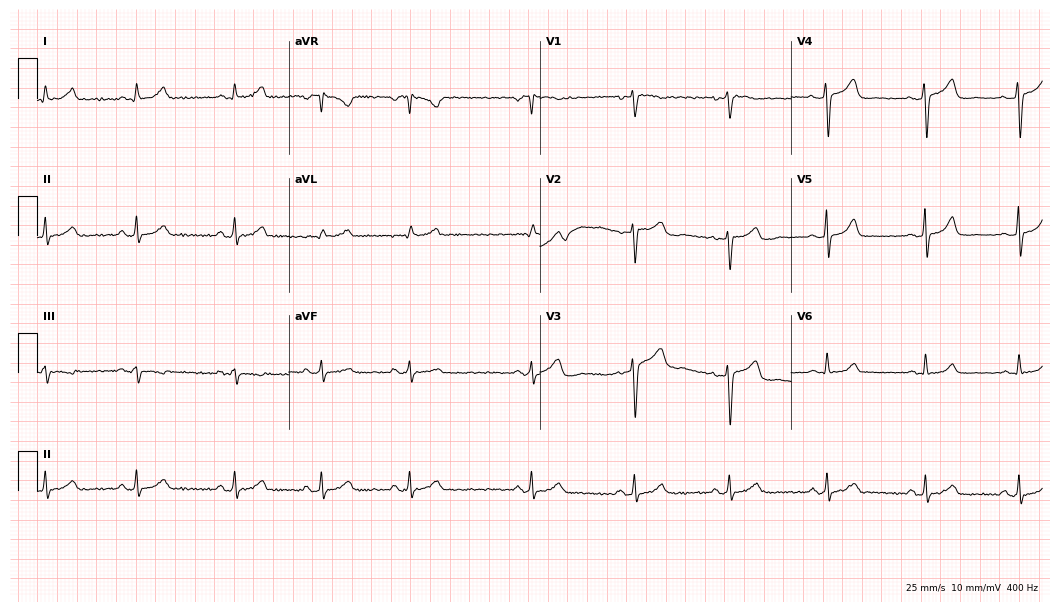
Resting 12-lead electrocardiogram (10.2-second recording at 400 Hz). Patient: a female, 37 years old. Read as a normal ECG.